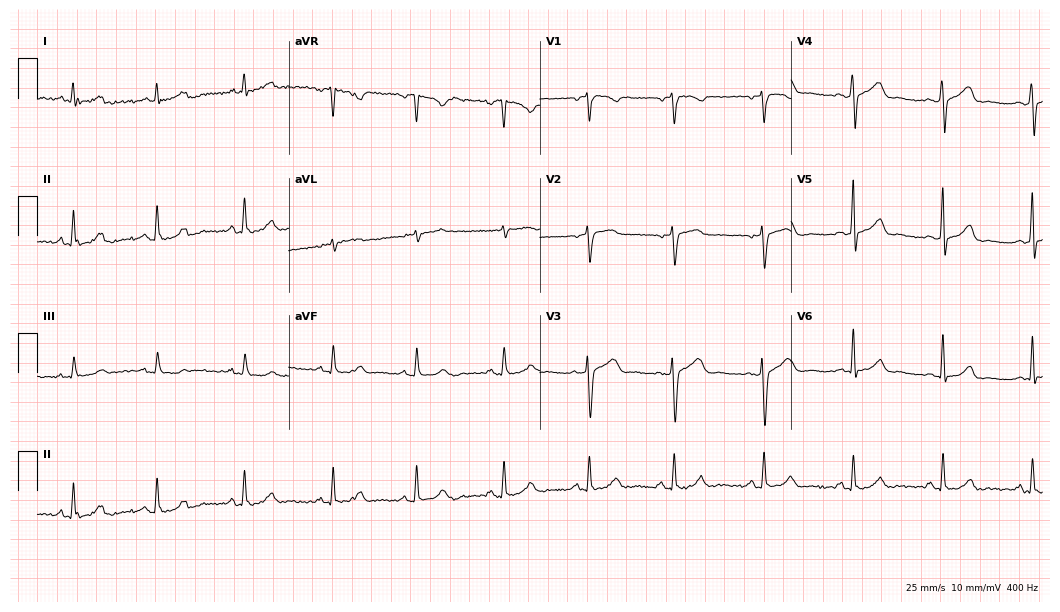
12-lead ECG from a 41-year-old female patient. Labelled as a normal ECG.